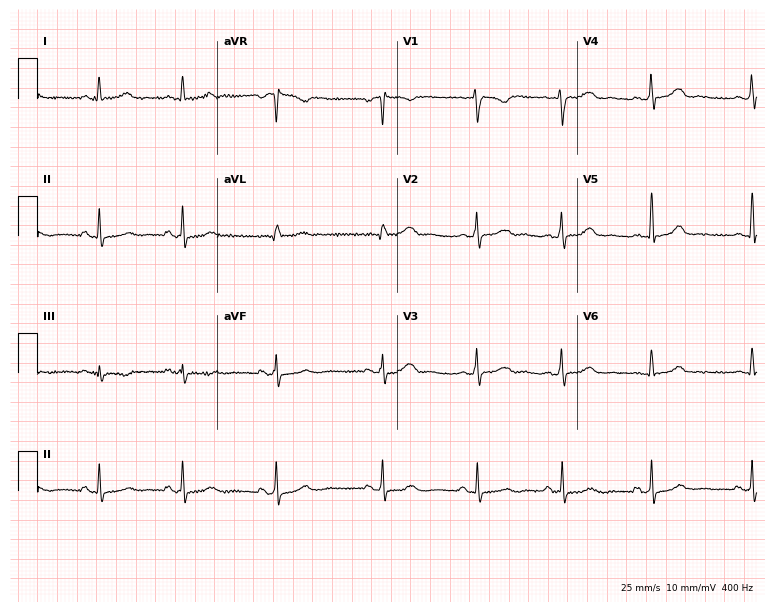
Electrocardiogram, a 37-year-old female. Overall reading on record: normal ECG.